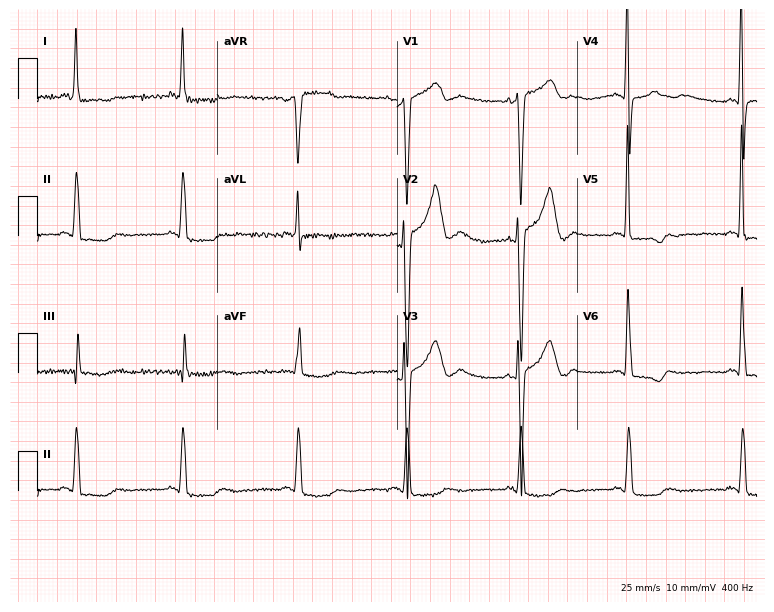
Standard 12-lead ECG recorded from a 58-year-old male. None of these six findings is recorded: first-degree AV block, right bundle branch block, left bundle branch block, sinus bradycardia, atrial fibrillation, sinus tachycardia.